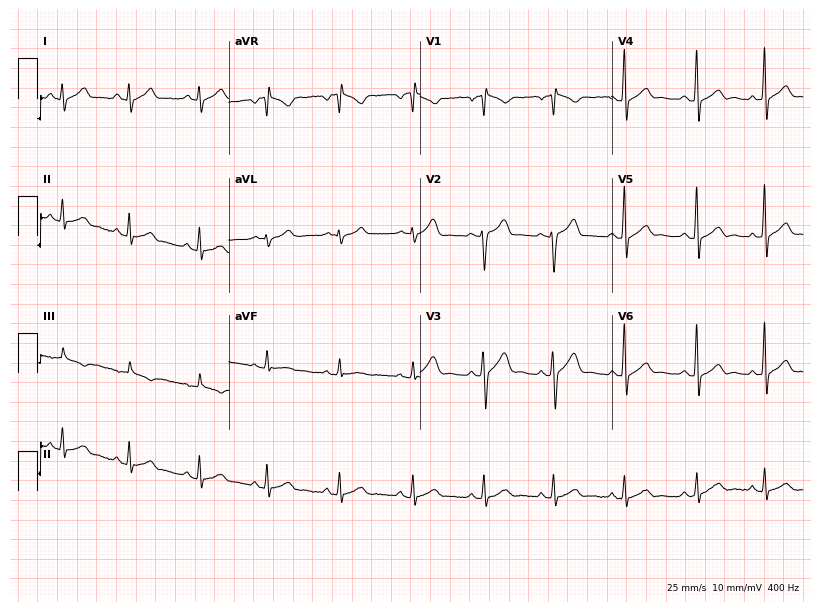
Electrocardiogram, a man, 27 years old. Of the six screened findings (first-degree AV block, right bundle branch block, left bundle branch block, sinus bradycardia, atrial fibrillation, sinus tachycardia), none is recorded.